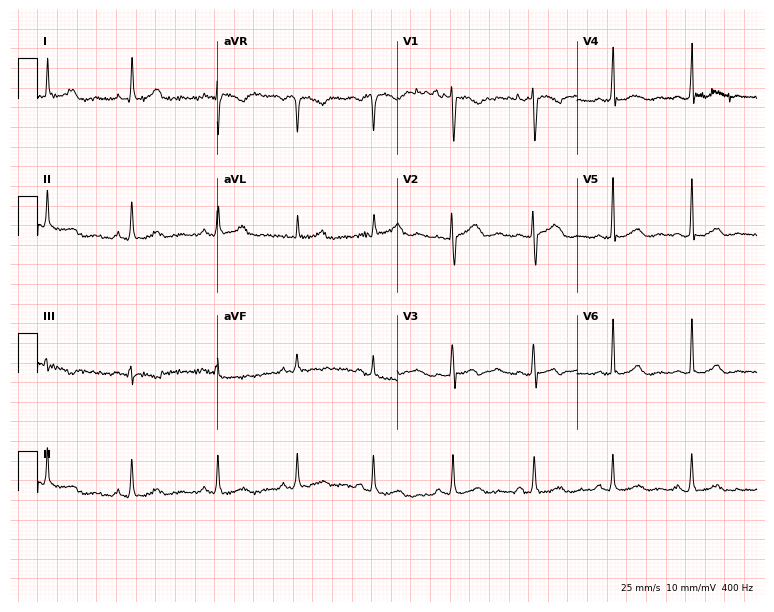
12-lead ECG (7.3-second recording at 400 Hz) from a 17-year-old woman. Labelled as a normal ECG.